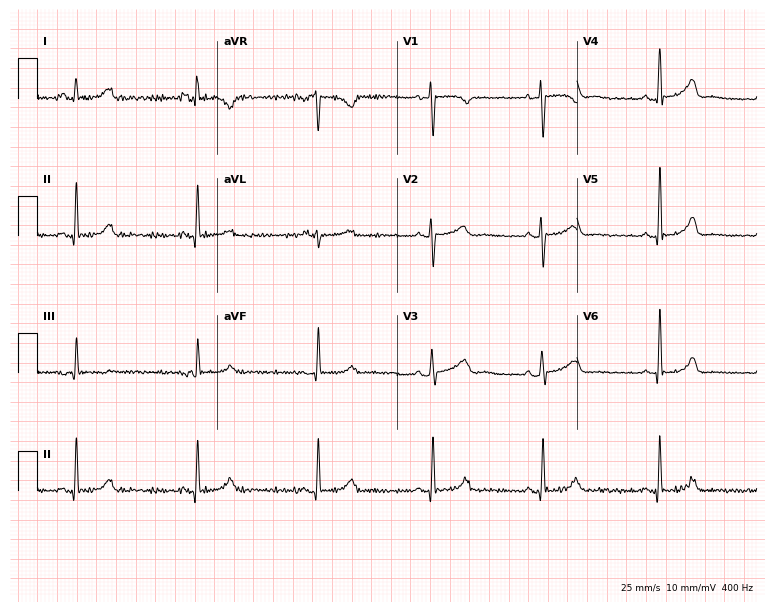
Electrocardiogram (7.3-second recording at 400 Hz), a female, 32 years old. Of the six screened findings (first-degree AV block, right bundle branch block (RBBB), left bundle branch block (LBBB), sinus bradycardia, atrial fibrillation (AF), sinus tachycardia), none is recorded. Other findings, if any, are not listed.